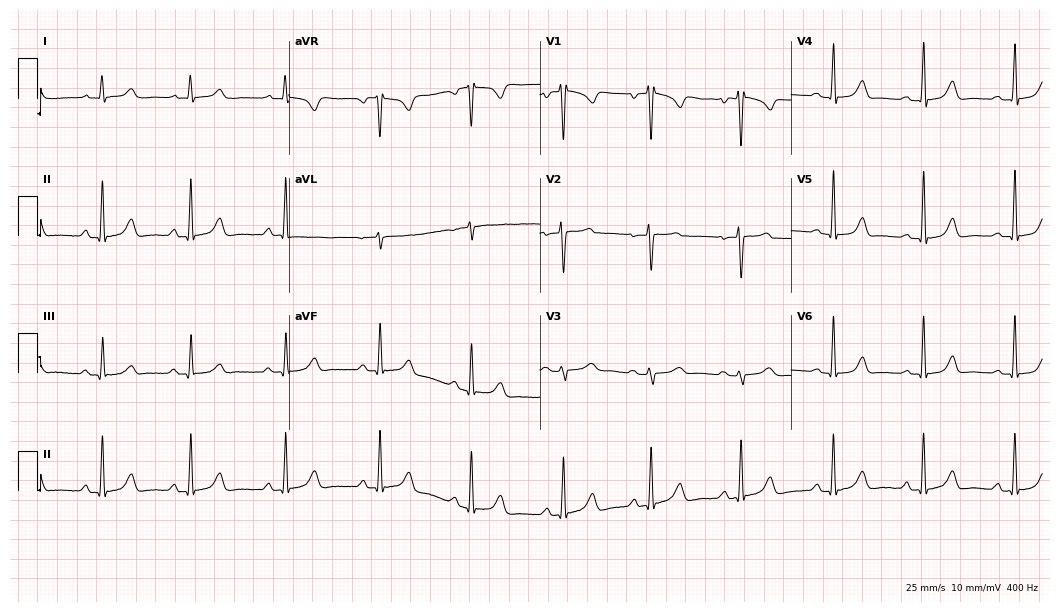
Electrocardiogram (10.2-second recording at 400 Hz), a woman, 28 years old. Overall reading on record: normal ECG.